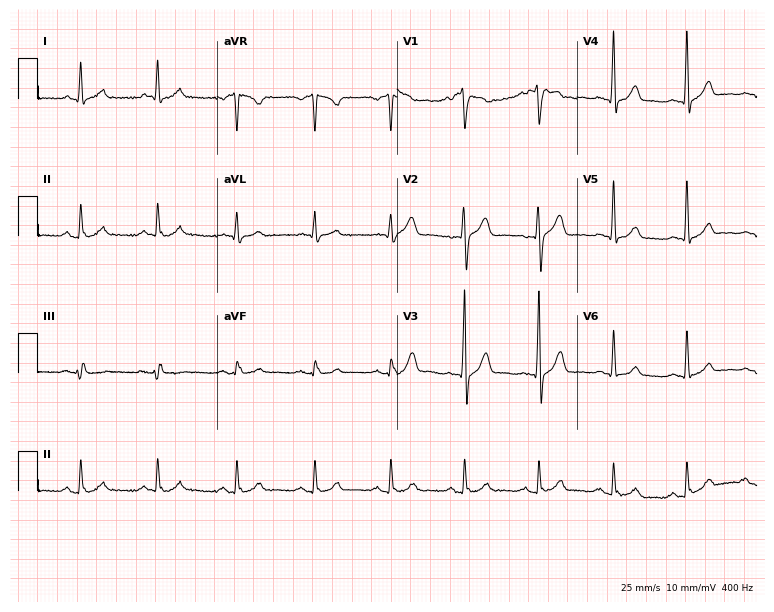
Electrocardiogram (7.3-second recording at 400 Hz), a 40-year-old male patient. Overall reading on record: normal ECG.